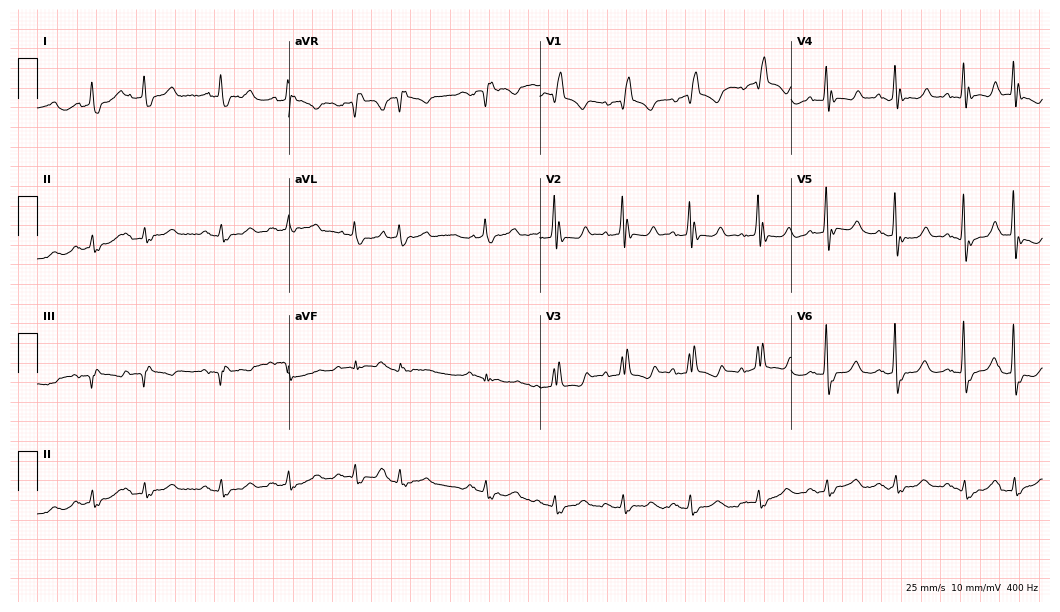
12-lead ECG from an 84-year-old man (10.2-second recording at 400 Hz). Shows right bundle branch block (RBBB).